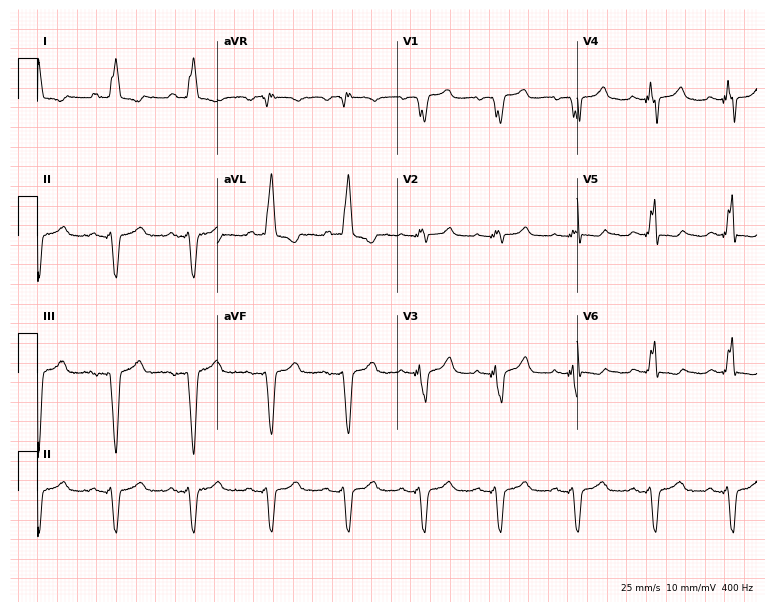
Standard 12-lead ECG recorded from an 81-year-old female patient. The tracing shows left bundle branch block (LBBB).